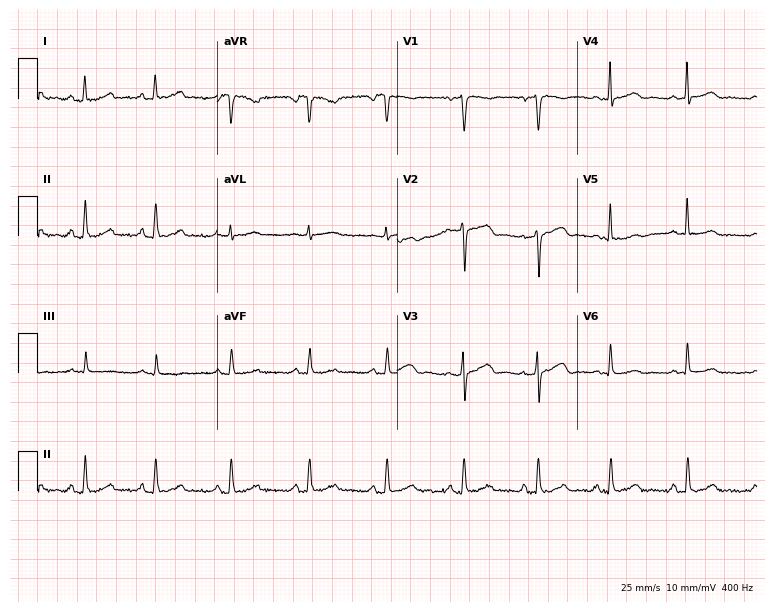
Resting 12-lead electrocardiogram. Patient: a woman, 50 years old. None of these six findings is recorded: first-degree AV block, right bundle branch block (RBBB), left bundle branch block (LBBB), sinus bradycardia, atrial fibrillation (AF), sinus tachycardia.